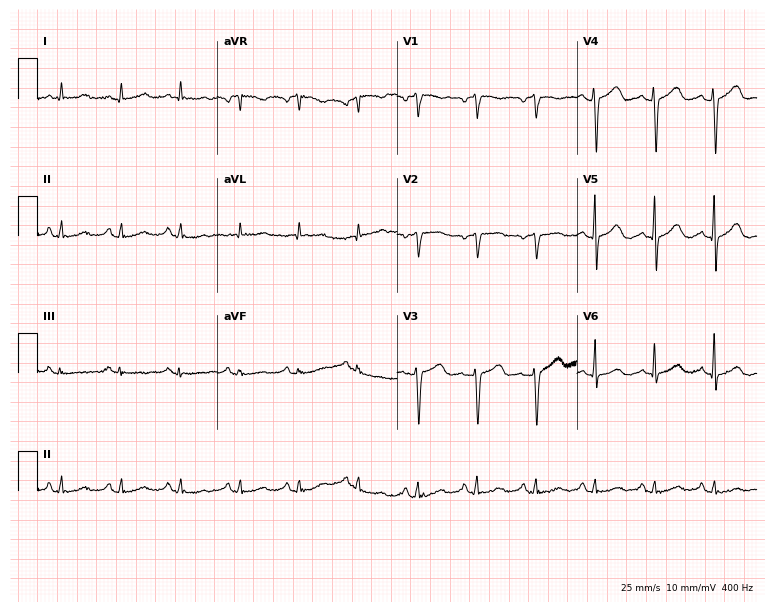
Resting 12-lead electrocardiogram (7.3-second recording at 400 Hz). Patient: a female, 58 years old. None of these six findings is recorded: first-degree AV block, right bundle branch block (RBBB), left bundle branch block (LBBB), sinus bradycardia, atrial fibrillation (AF), sinus tachycardia. Findings outside these six are not listed.